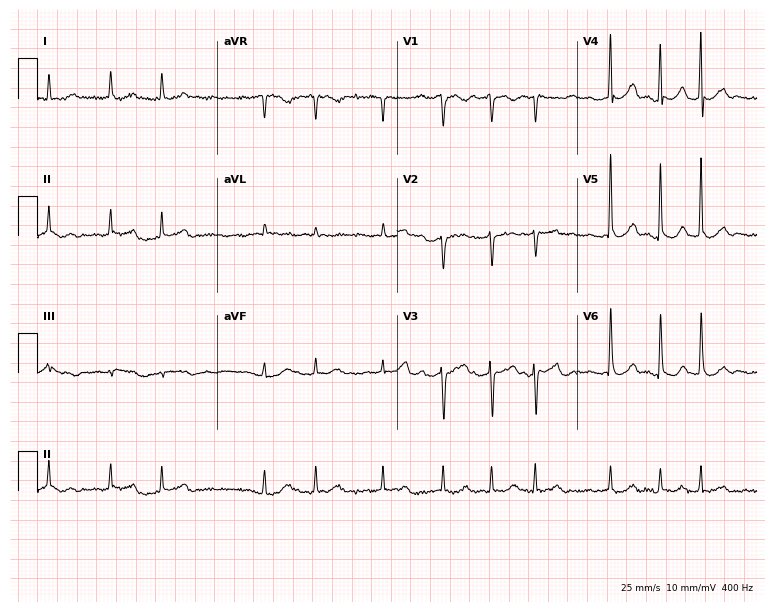
Resting 12-lead electrocardiogram (7.3-second recording at 400 Hz). Patient: a female, 76 years old. The tracing shows atrial fibrillation.